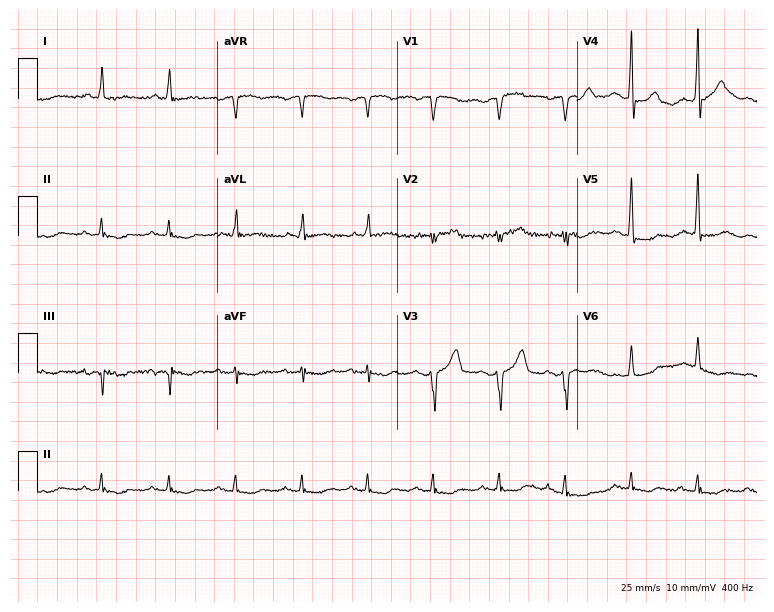
12-lead ECG from a man, 80 years old. Screened for six findings — first-degree AV block, right bundle branch block, left bundle branch block, sinus bradycardia, atrial fibrillation, sinus tachycardia — none is recorded.